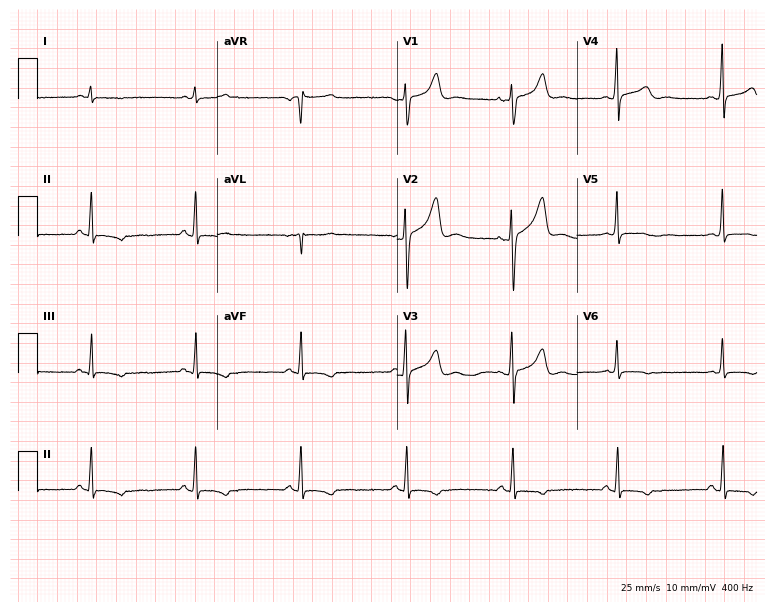
Resting 12-lead electrocardiogram (7.3-second recording at 400 Hz). Patient: a man, 65 years old. None of these six findings is recorded: first-degree AV block, right bundle branch block, left bundle branch block, sinus bradycardia, atrial fibrillation, sinus tachycardia. Only these six findings were labelled.